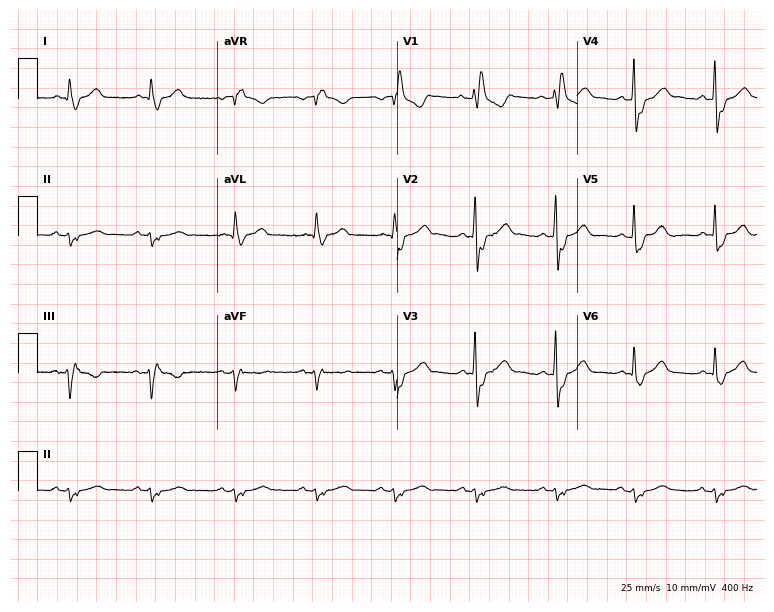
Resting 12-lead electrocardiogram (7.3-second recording at 400 Hz). Patient: an 80-year-old male. The tracing shows right bundle branch block.